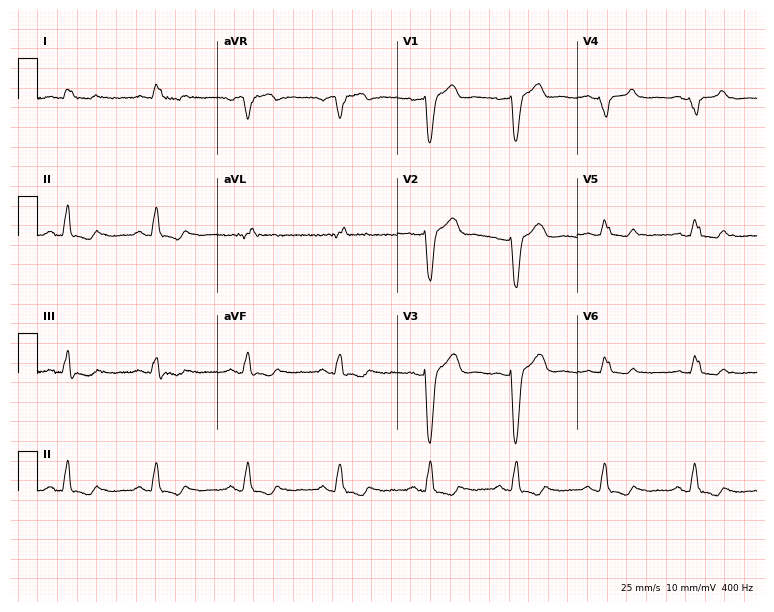
Resting 12-lead electrocardiogram (7.3-second recording at 400 Hz). Patient: a man, 58 years old. The tracing shows left bundle branch block.